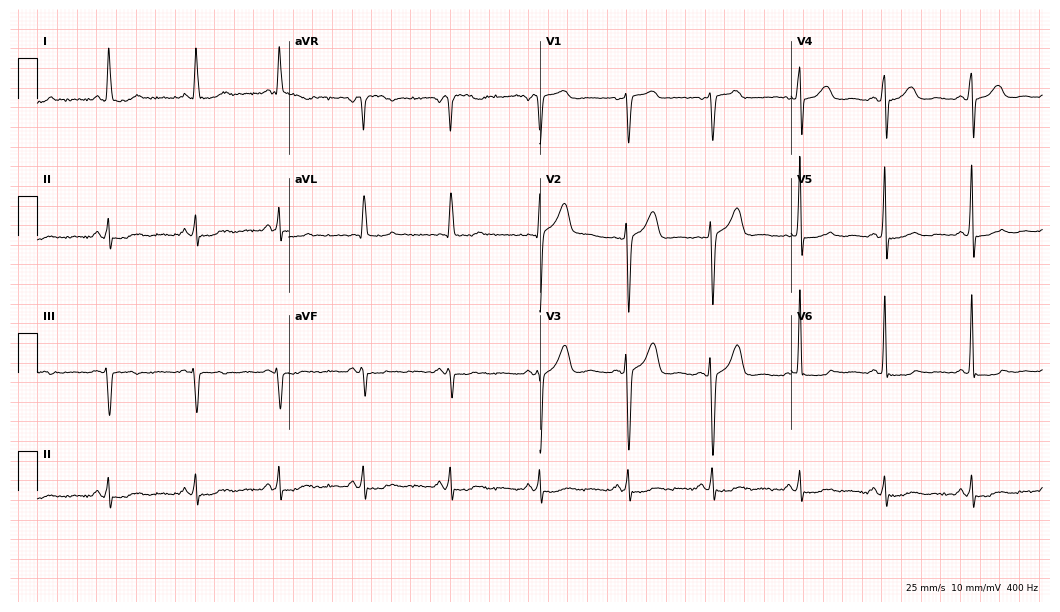
Electrocardiogram, a female patient, 66 years old. Of the six screened findings (first-degree AV block, right bundle branch block, left bundle branch block, sinus bradycardia, atrial fibrillation, sinus tachycardia), none is recorded. Only these six findings were labelled.